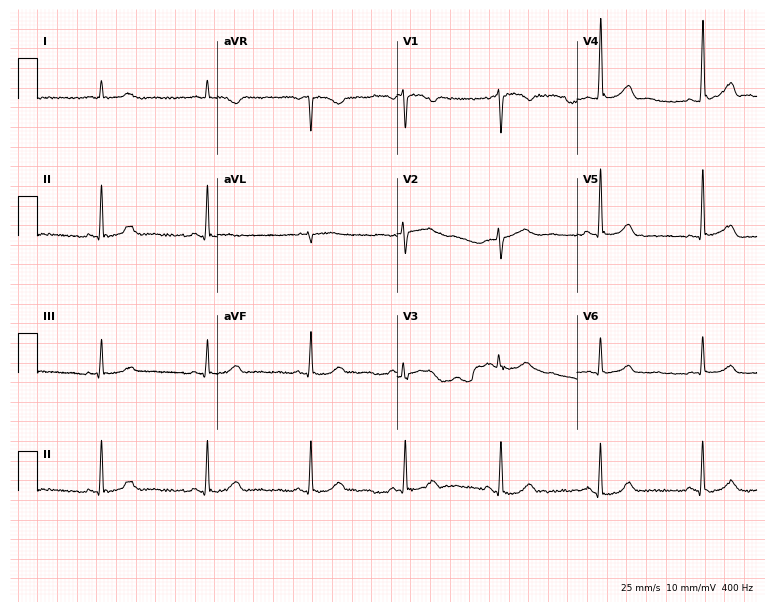
ECG (7.3-second recording at 400 Hz) — a 41-year-old female patient. Screened for six findings — first-degree AV block, right bundle branch block, left bundle branch block, sinus bradycardia, atrial fibrillation, sinus tachycardia — none is recorded.